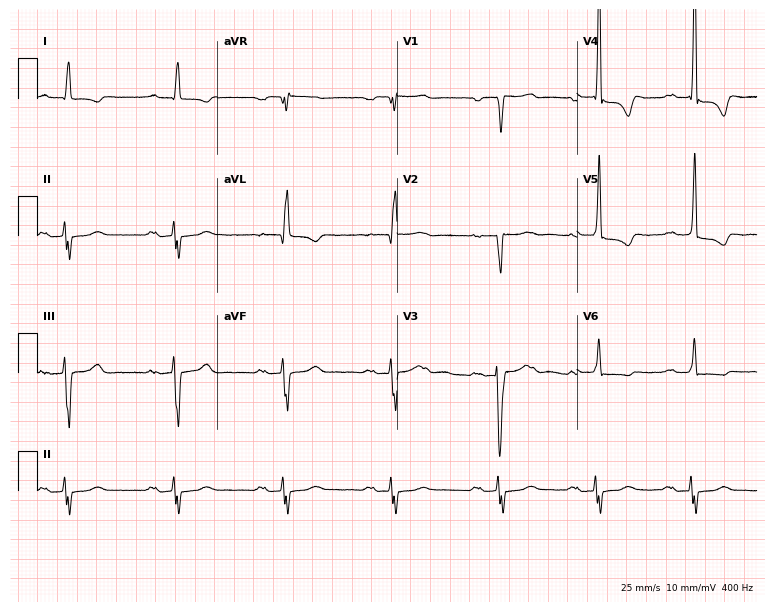
Resting 12-lead electrocardiogram. Patient: a male, 71 years old. The tracing shows first-degree AV block.